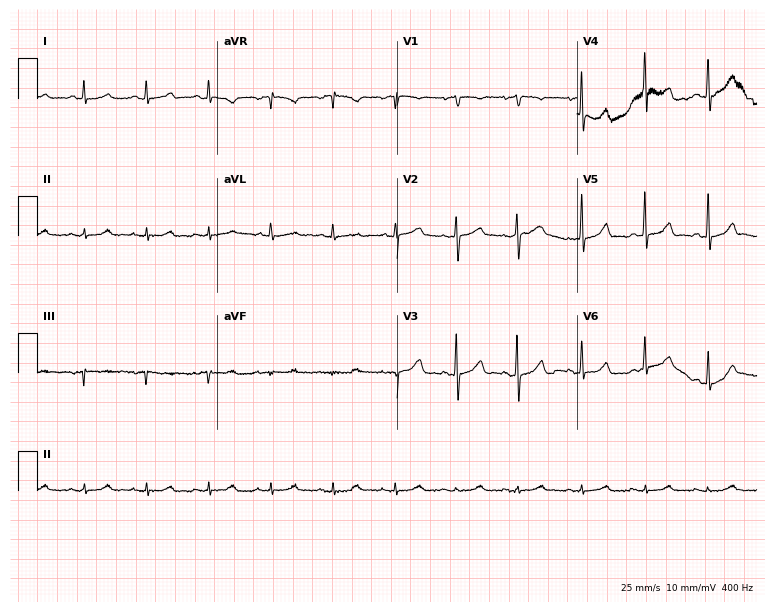
Electrocardiogram, a female patient, 76 years old. Of the six screened findings (first-degree AV block, right bundle branch block, left bundle branch block, sinus bradycardia, atrial fibrillation, sinus tachycardia), none is recorded.